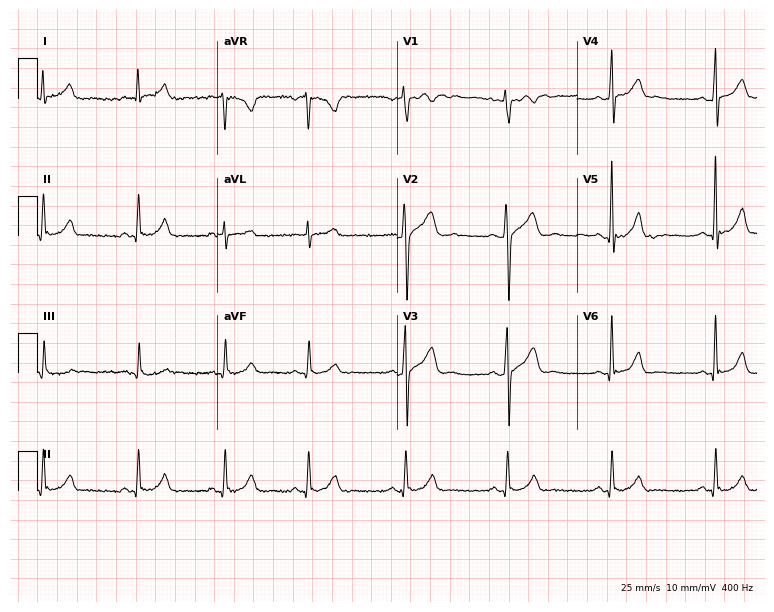
12-lead ECG from a male, 49 years old. Recorded interpretation: within normal limits.